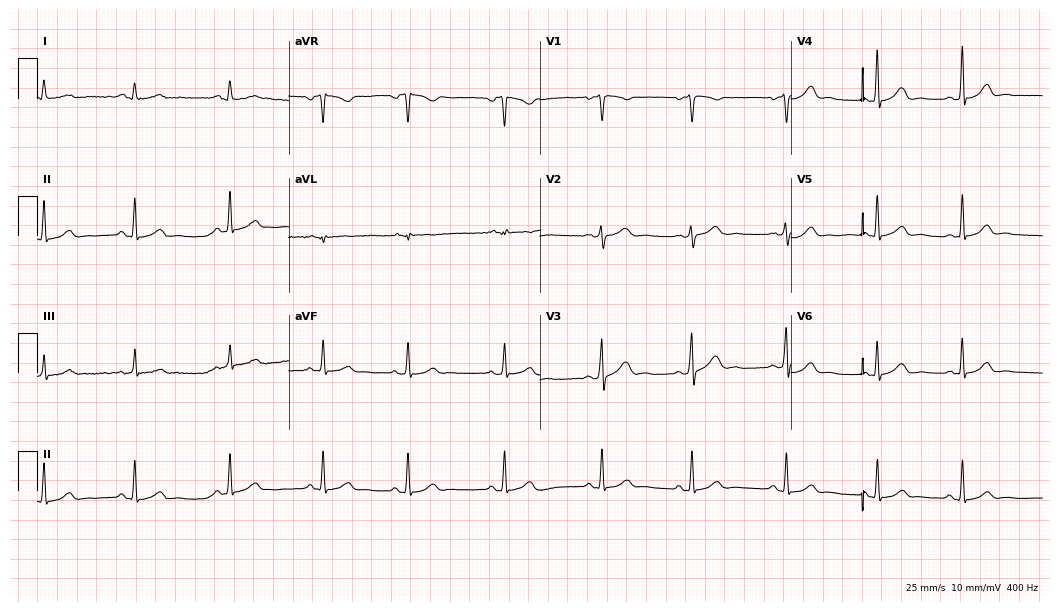
12-lead ECG from a female patient, 23 years old. Screened for six findings — first-degree AV block, right bundle branch block, left bundle branch block, sinus bradycardia, atrial fibrillation, sinus tachycardia — none is recorded. Only these six findings were labelled.